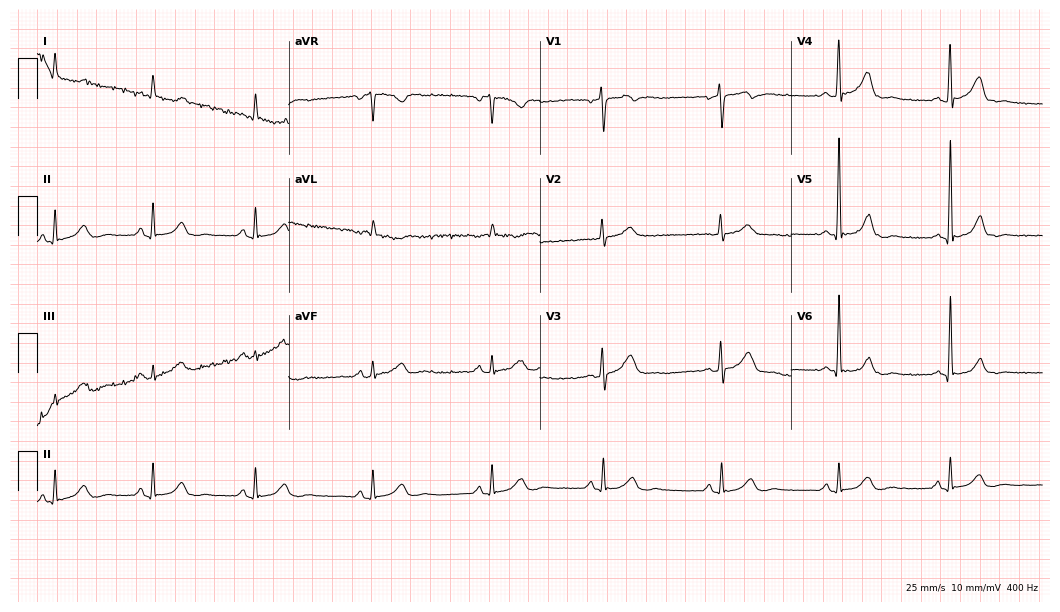
ECG — a female, 47 years old. Labelled as a normal ECG.